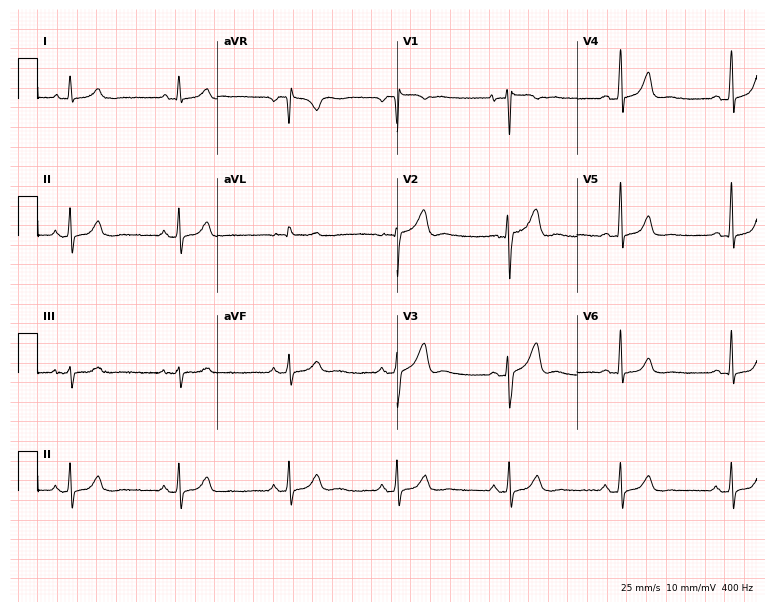
Electrocardiogram, a woman, 61 years old. Of the six screened findings (first-degree AV block, right bundle branch block (RBBB), left bundle branch block (LBBB), sinus bradycardia, atrial fibrillation (AF), sinus tachycardia), none is recorded. Findings outside these six are not listed.